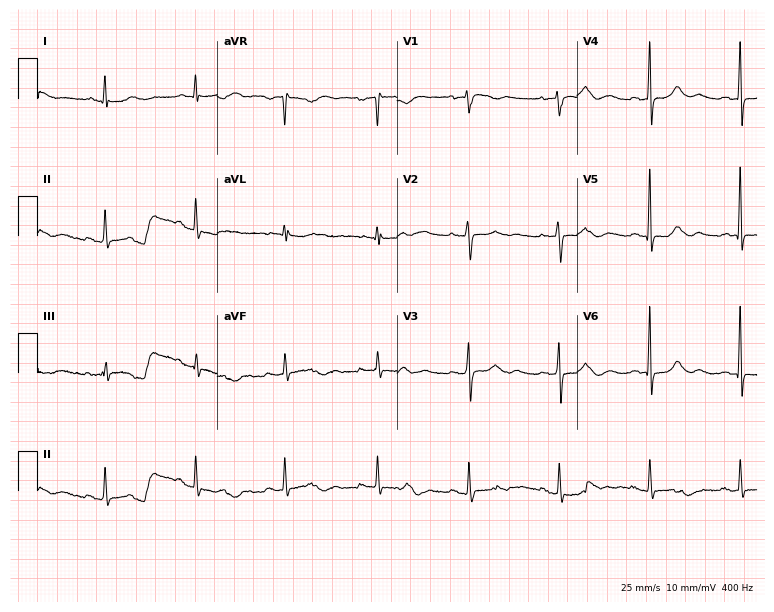
Electrocardiogram, a 66-year-old woman. Overall reading on record: normal ECG.